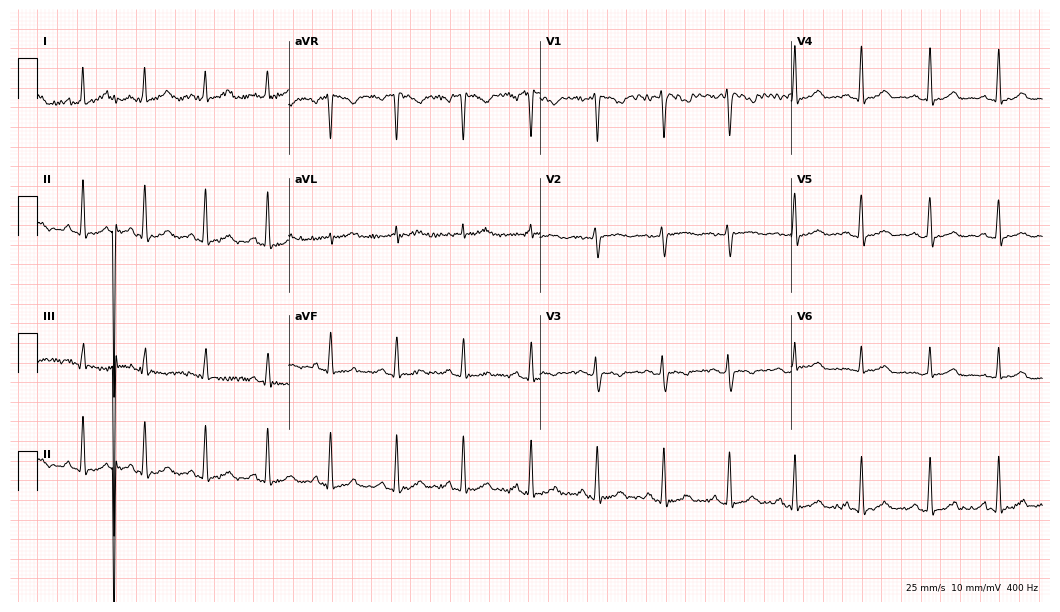
Resting 12-lead electrocardiogram. Patient: an 18-year-old female. None of these six findings is recorded: first-degree AV block, right bundle branch block, left bundle branch block, sinus bradycardia, atrial fibrillation, sinus tachycardia. Findings outside these six are not listed.